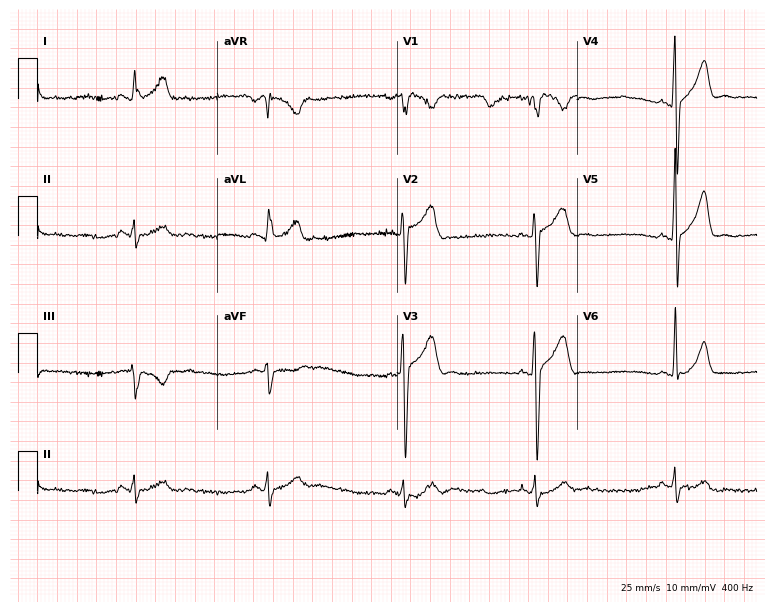
12-lead ECG from a man, 40 years old. Screened for six findings — first-degree AV block, right bundle branch block (RBBB), left bundle branch block (LBBB), sinus bradycardia, atrial fibrillation (AF), sinus tachycardia — none is recorded.